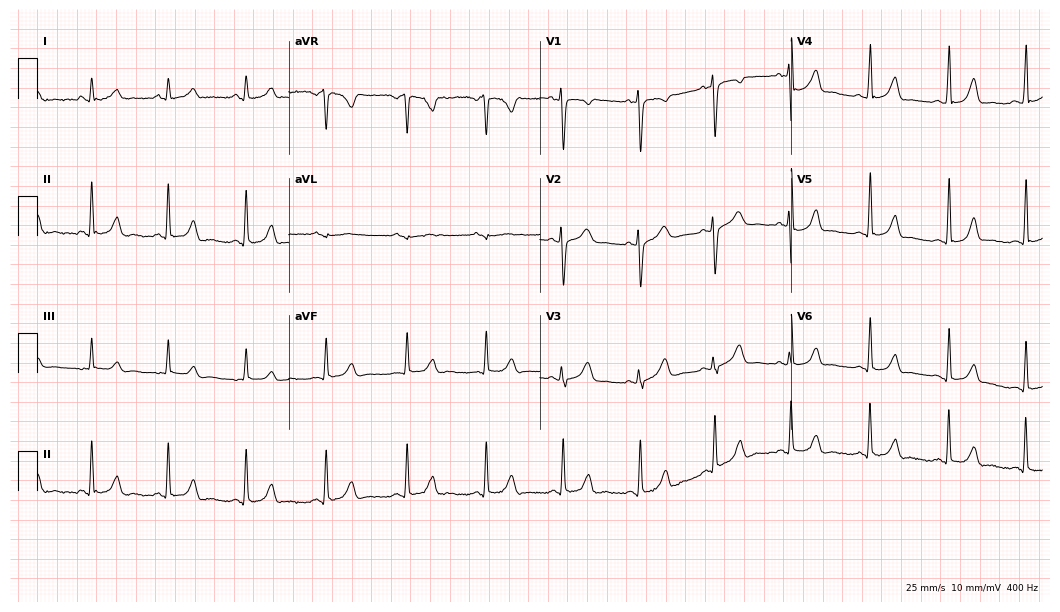
ECG — a female patient, 24 years old. Labelled as a normal ECG.